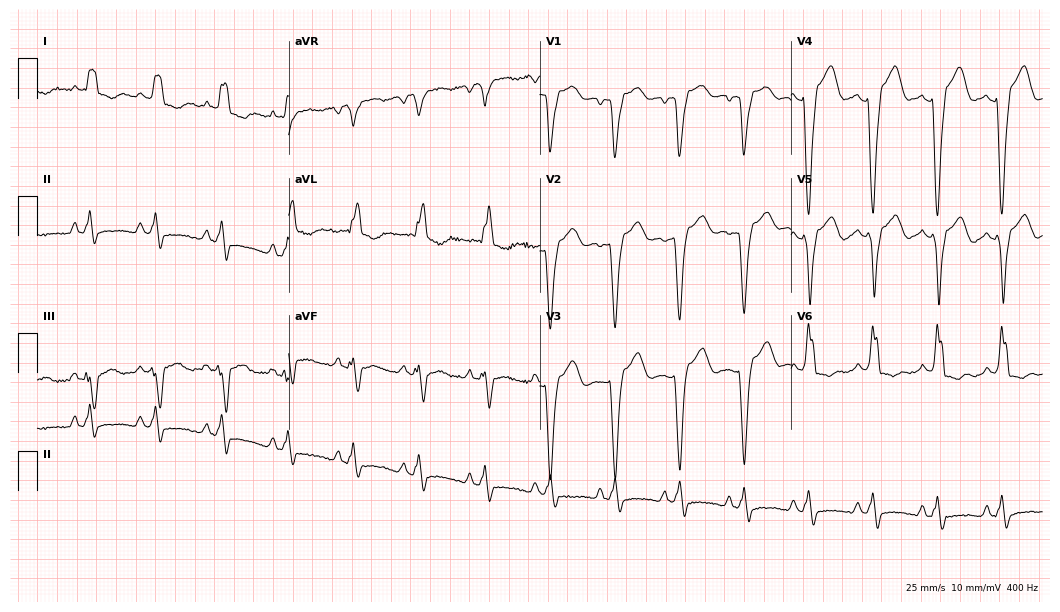
ECG — a 78-year-old female. Screened for six findings — first-degree AV block, right bundle branch block, left bundle branch block, sinus bradycardia, atrial fibrillation, sinus tachycardia — none is recorded.